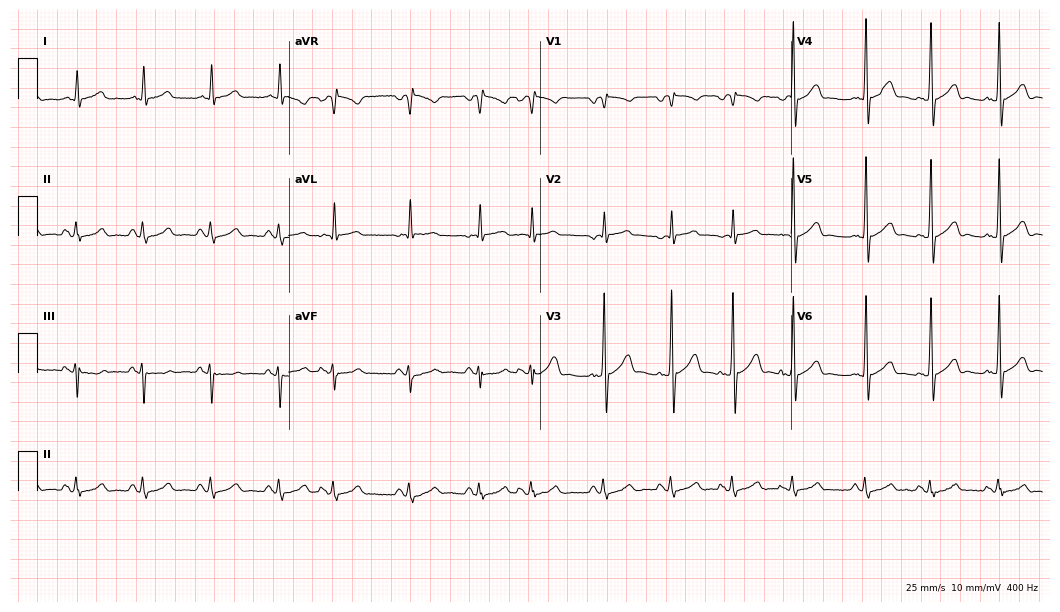
Standard 12-lead ECG recorded from a 75-year-old male patient (10.2-second recording at 400 Hz). Read as a normal ECG.